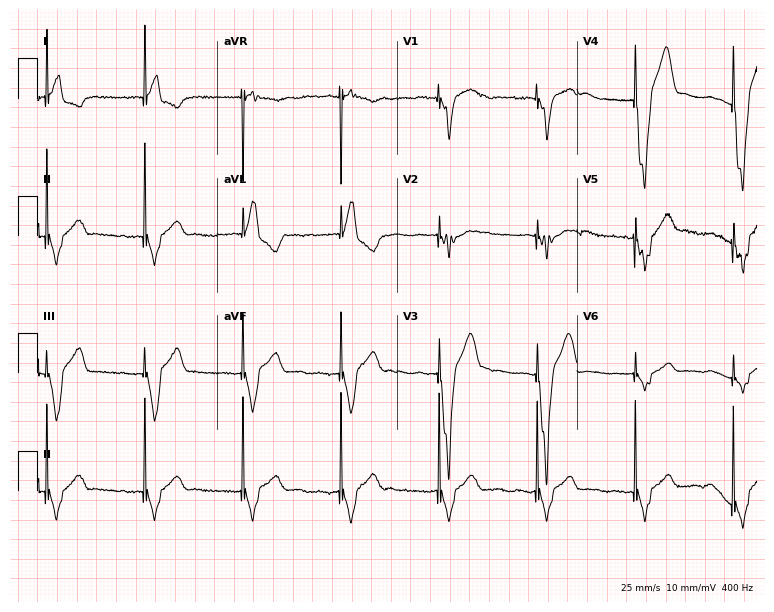
Electrocardiogram (7.3-second recording at 400 Hz), a 72-year-old woman. Of the six screened findings (first-degree AV block, right bundle branch block, left bundle branch block, sinus bradycardia, atrial fibrillation, sinus tachycardia), none is recorded. Only these six findings were labelled.